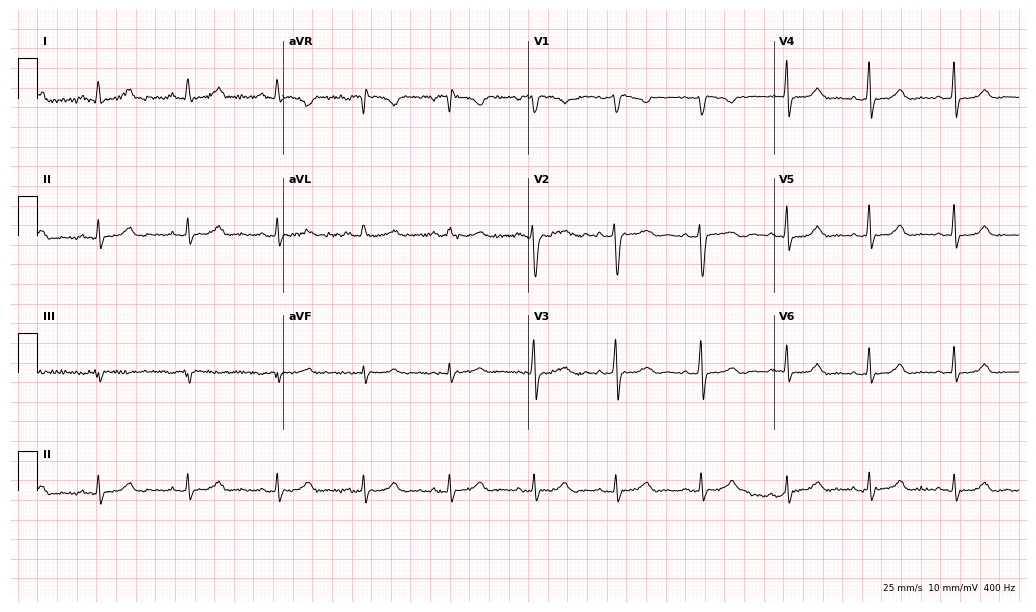
ECG — a female, 40 years old. Screened for six findings — first-degree AV block, right bundle branch block, left bundle branch block, sinus bradycardia, atrial fibrillation, sinus tachycardia — none is recorded. Findings outside these six are not listed.